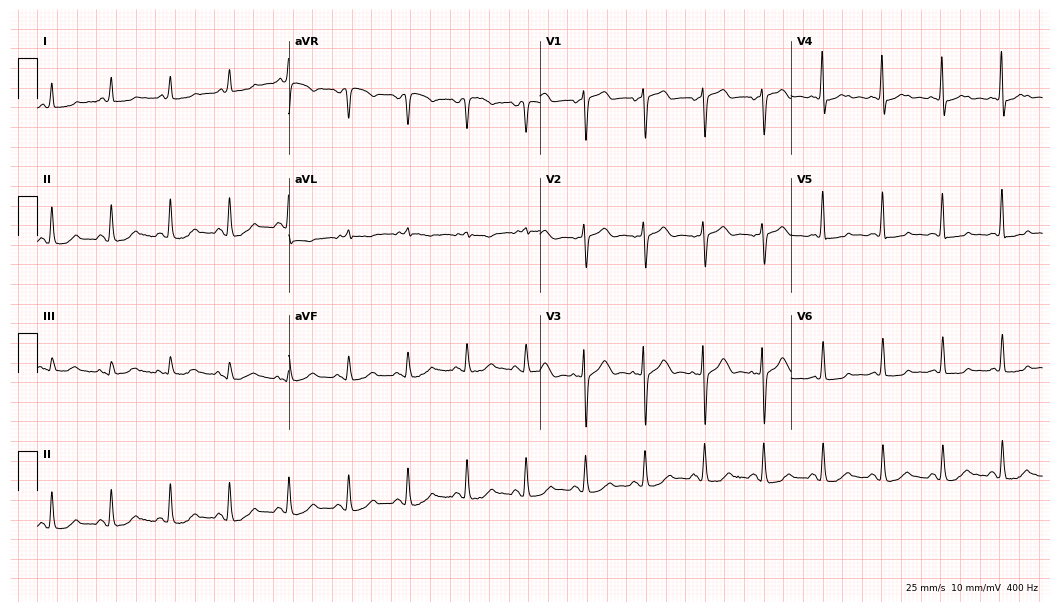
12-lead ECG from a female patient, 79 years old. No first-degree AV block, right bundle branch block (RBBB), left bundle branch block (LBBB), sinus bradycardia, atrial fibrillation (AF) or sinus tachycardia recorded for this tracing.